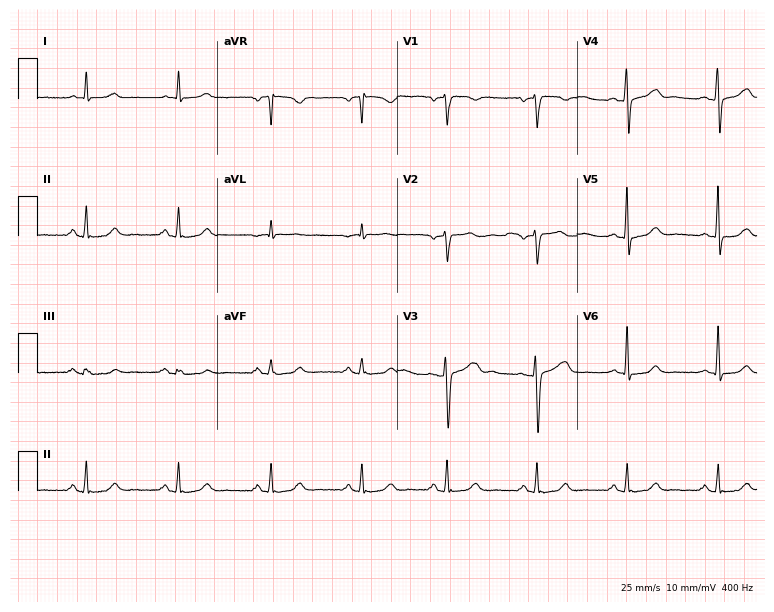
Standard 12-lead ECG recorded from a female patient, 32 years old (7.3-second recording at 400 Hz). Read as a normal ECG.